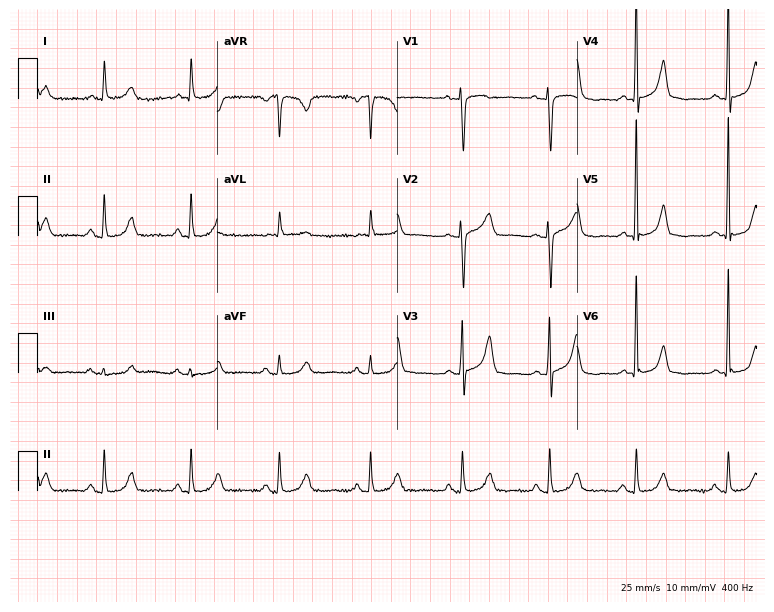
12-lead ECG from a 77-year-old female patient (7.3-second recording at 400 Hz). No first-degree AV block, right bundle branch block (RBBB), left bundle branch block (LBBB), sinus bradycardia, atrial fibrillation (AF) or sinus tachycardia recorded for this tracing.